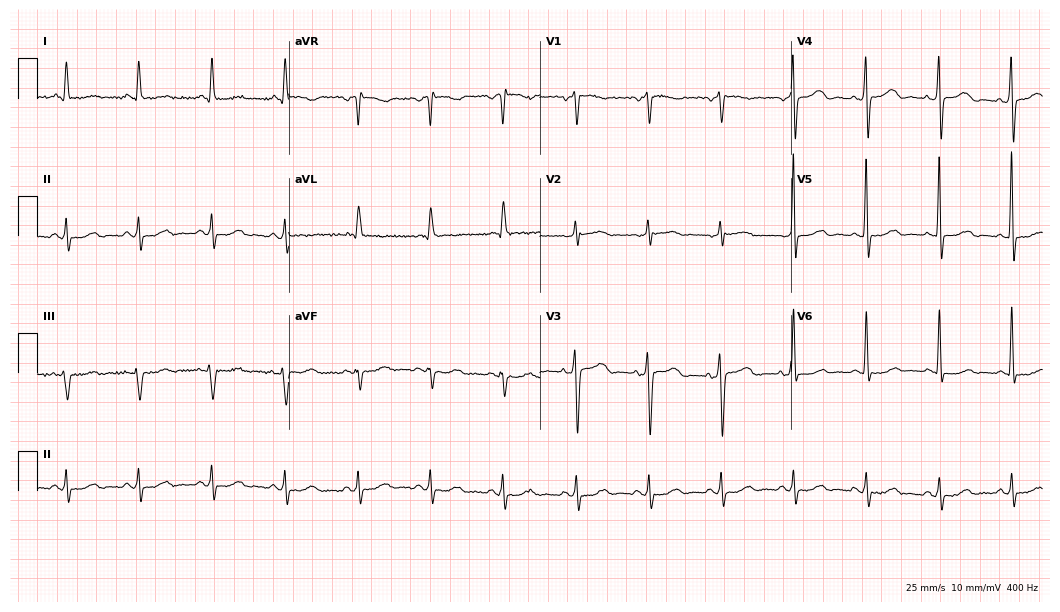
Standard 12-lead ECG recorded from a 69-year-old female (10.2-second recording at 400 Hz). None of these six findings is recorded: first-degree AV block, right bundle branch block, left bundle branch block, sinus bradycardia, atrial fibrillation, sinus tachycardia. Findings outside these six are not listed.